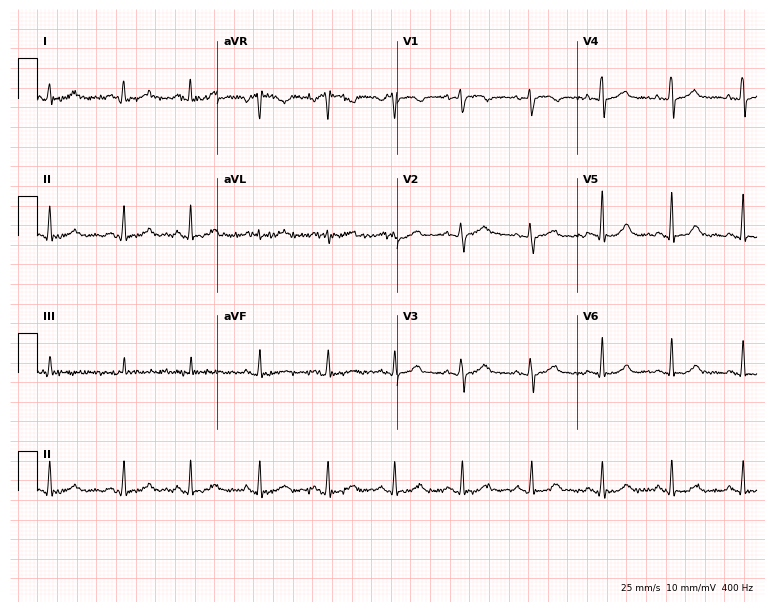
ECG — a female, 53 years old. Screened for six findings — first-degree AV block, right bundle branch block, left bundle branch block, sinus bradycardia, atrial fibrillation, sinus tachycardia — none is recorded. Only these six findings were labelled.